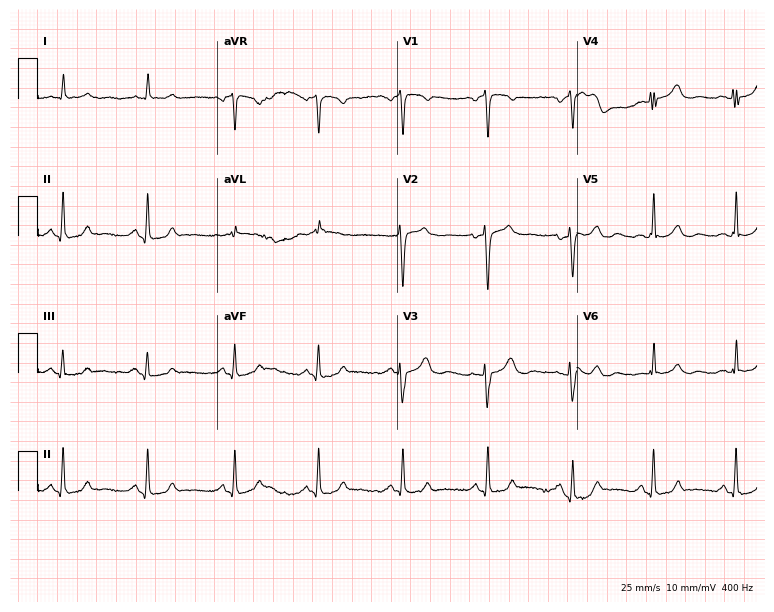
ECG — a female patient, 40 years old. Screened for six findings — first-degree AV block, right bundle branch block, left bundle branch block, sinus bradycardia, atrial fibrillation, sinus tachycardia — none is recorded. Only these six findings were labelled.